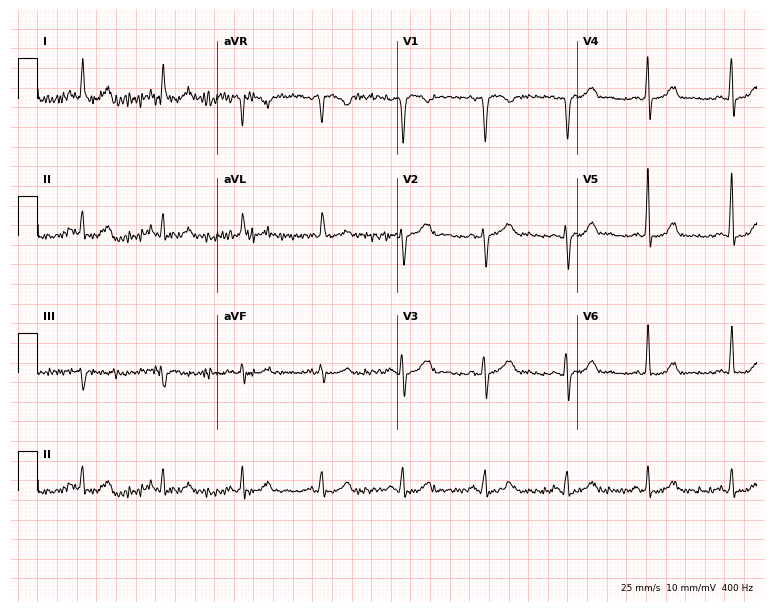
Standard 12-lead ECG recorded from a female patient, 46 years old (7.3-second recording at 400 Hz). None of these six findings is recorded: first-degree AV block, right bundle branch block, left bundle branch block, sinus bradycardia, atrial fibrillation, sinus tachycardia.